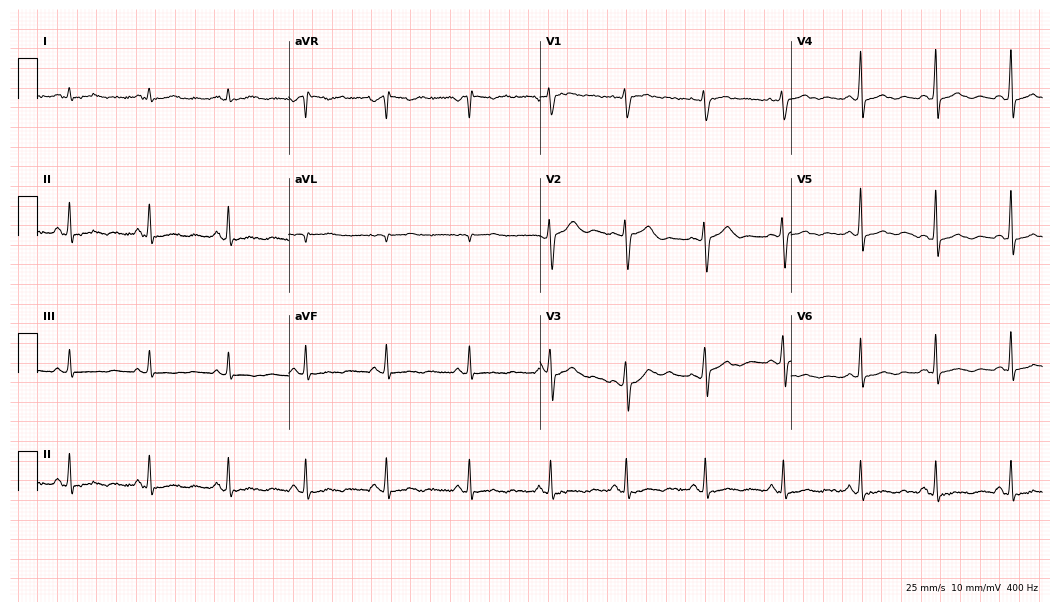
12-lead ECG from a female patient, 30 years old (10.2-second recording at 400 Hz). Recorded interpretation: within normal limits.